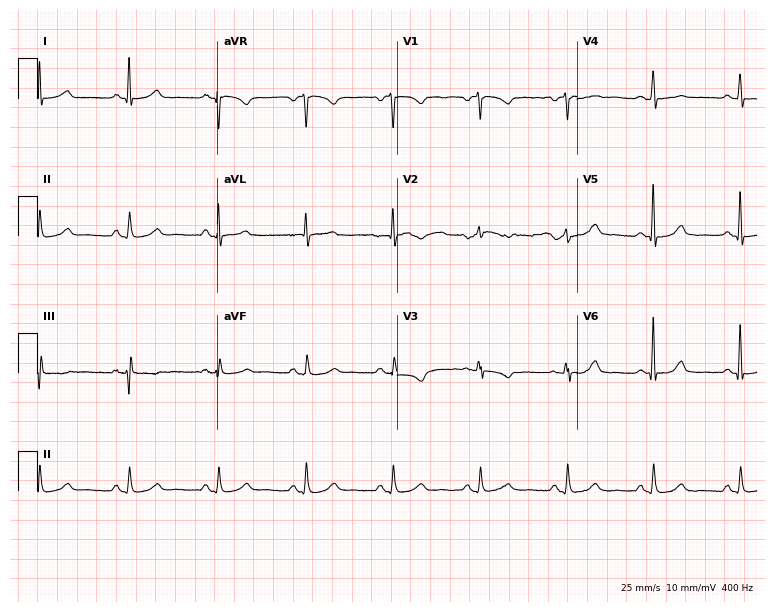
Electrocardiogram (7.3-second recording at 400 Hz), a female patient, 53 years old. Of the six screened findings (first-degree AV block, right bundle branch block (RBBB), left bundle branch block (LBBB), sinus bradycardia, atrial fibrillation (AF), sinus tachycardia), none is recorded.